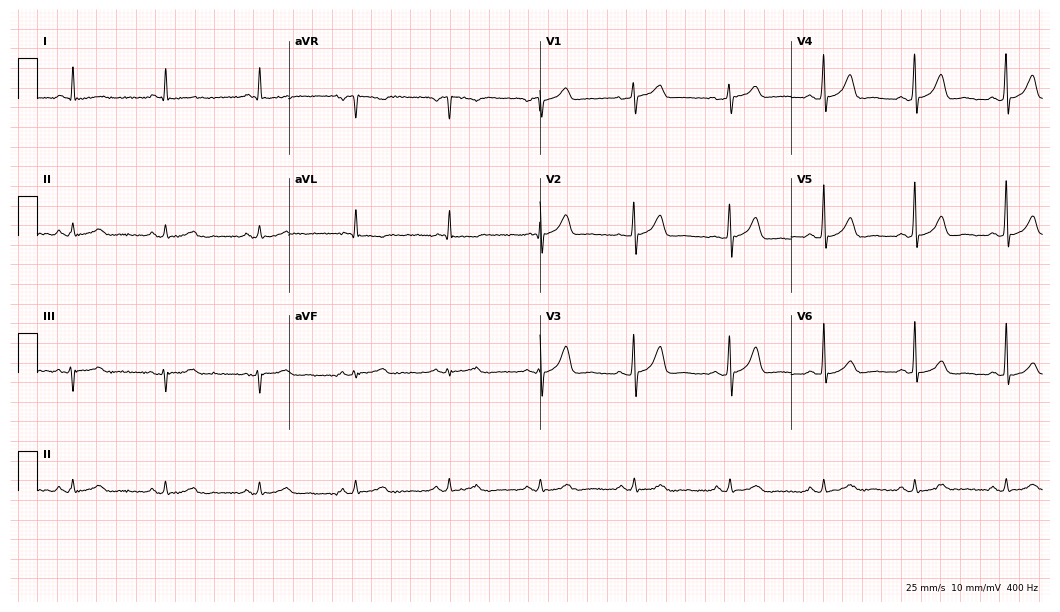
Standard 12-lead ECG recorded from a 60-year-old female patient. None of these six findings is recorded: first-degree AV block, right bundle branch block, left bundle branch block, sinus bradycardia, atrial fibrillation, sinus tachycardia.